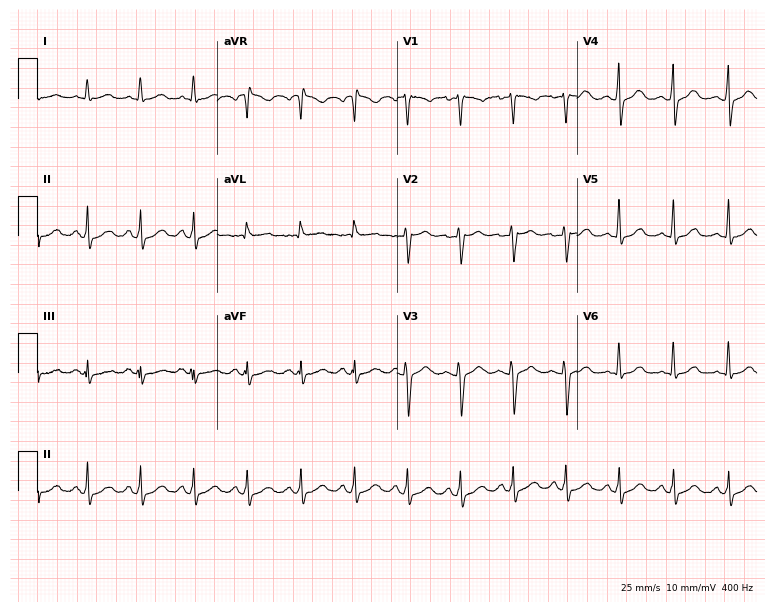
Resting 12-lead electrocardiogram (7.3-second recording at 400 Hz). Patient: a 42-year-old female. None of these six findings is recorded: first-degree AV block, right bundle branch block (RBBB), left bundle branch block (LBBB), sinus bradycardia, atrial fibrillation (AF), sinus tachycardia. Only these six findings were labelled.